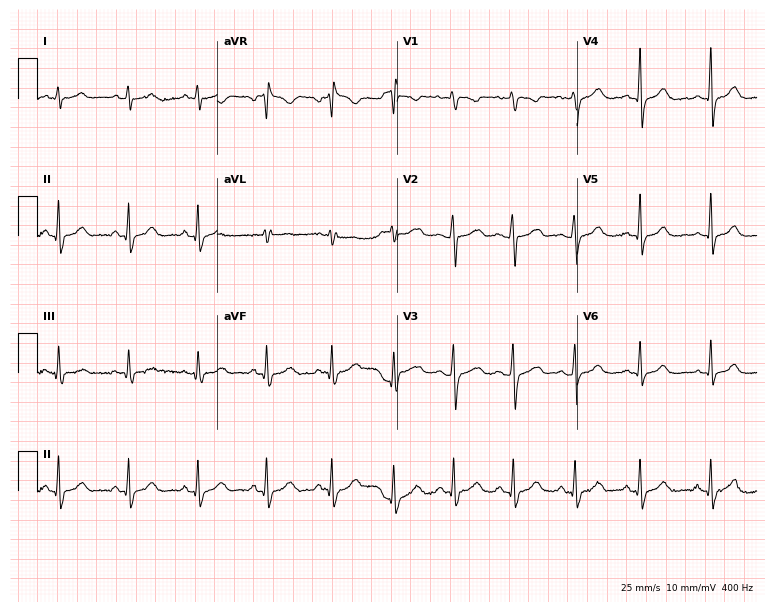
12-lead ECG from a female, 35 years old (7.3-second recording at 400 Hz). Recorded interpretation: within normal limits.